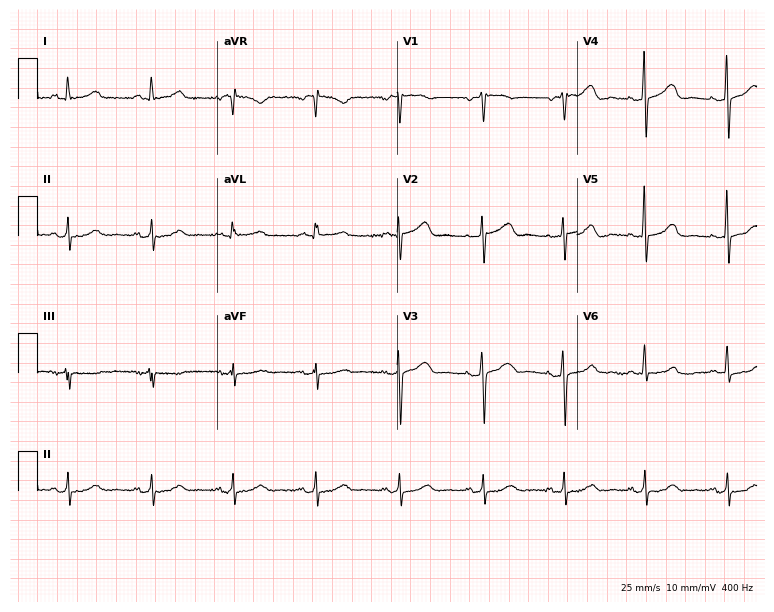
12-lead ECG from a 59-year-old female patient (7.3-second recording at 400 Hz). Recorded interpretation: within normal limits.